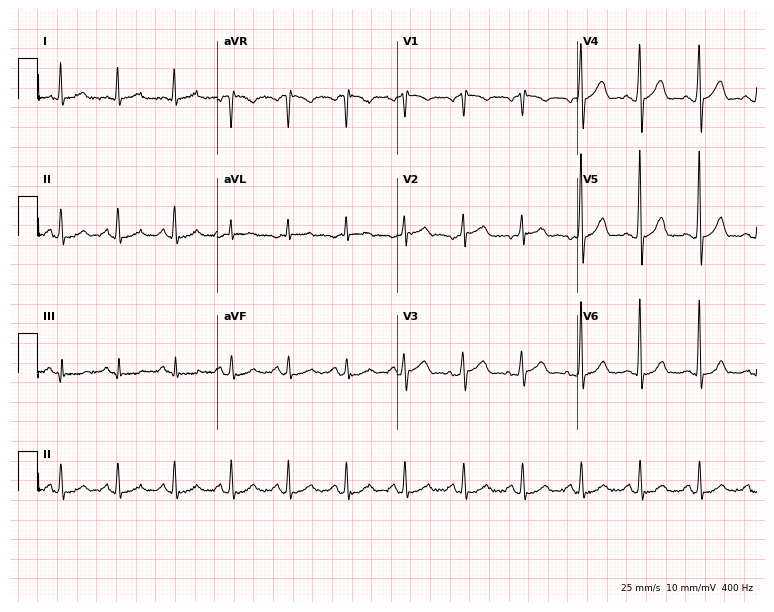
12-lead ECG from a male patient, 58 years old. Findings include sinus tachycardia (a sinus rate of 100 beats per minute or more).